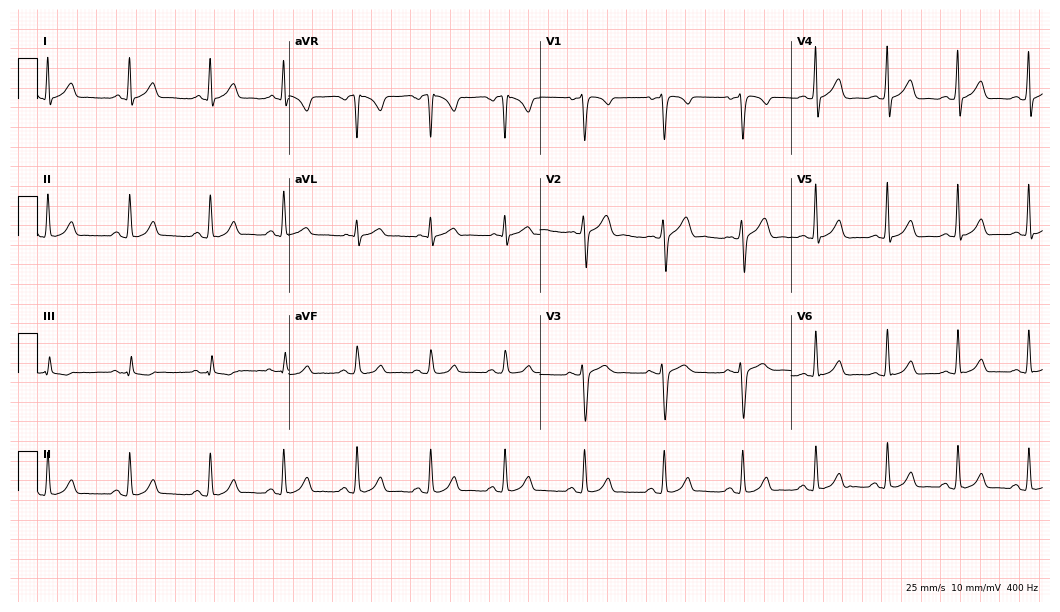
Electrocardiogram, a male, 34 years old. Overall reading on record: normal ECG.